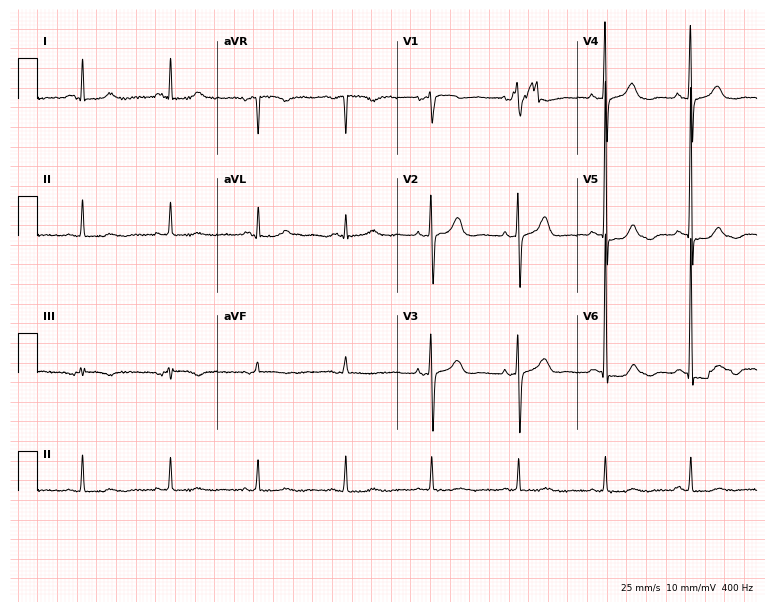
Electrocardiogram, a 72-year-old woman. Of the six screened findings (first-degree AV block, right bundle branch block, left bundle branch block, sinus bradycardia, atrial fibrillation, sinus tachycardia), none is recorded.